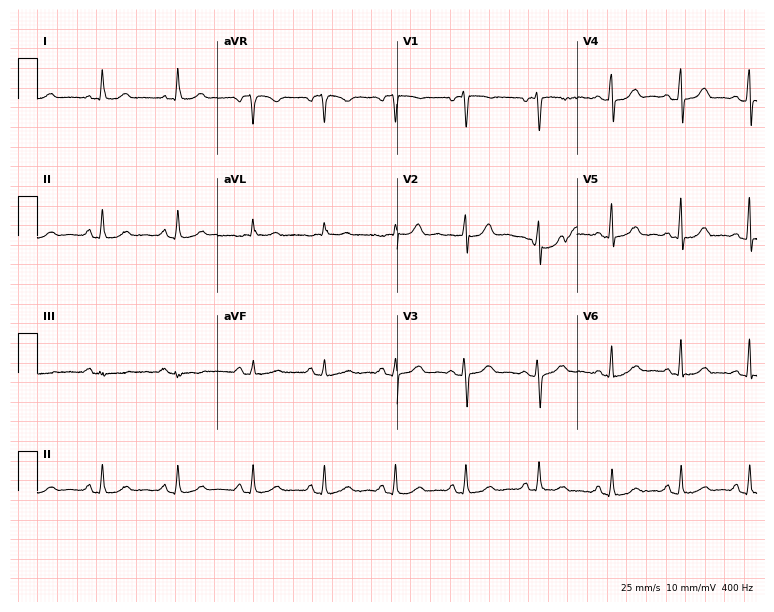
ECG (7.3-second recording at 400 Hz) — a woman, 47 years old. Labelled as a normal ECG.